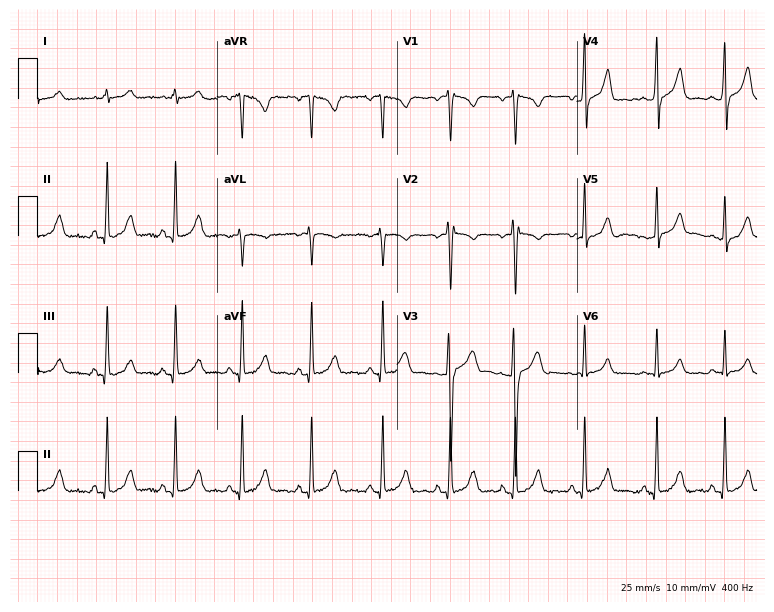
12-lead ECG from a man, 27 years old (7.3-second recording at 400 Hz). Recorded interpretation: within normal limits.